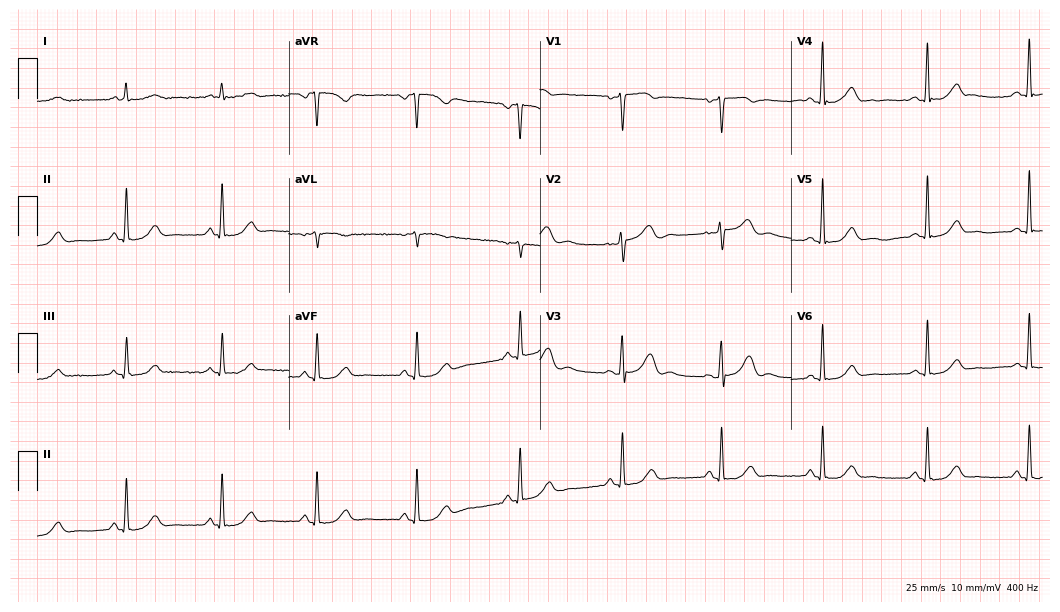
ECG (10.2-second recording at 400 Hz) — a female, 47 years old. Labelled as a normal ECG.